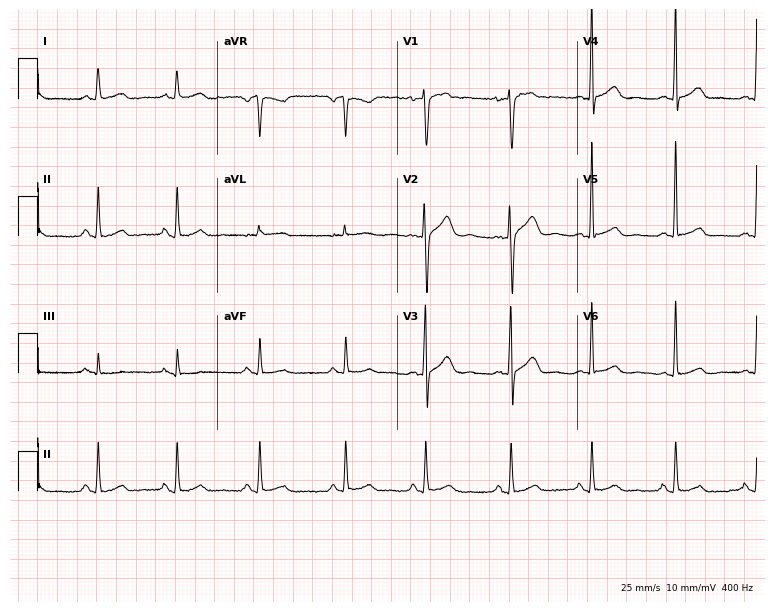
Standard 12-lead ECG recorded from a female, 36 years old. Read as a normal ECG.